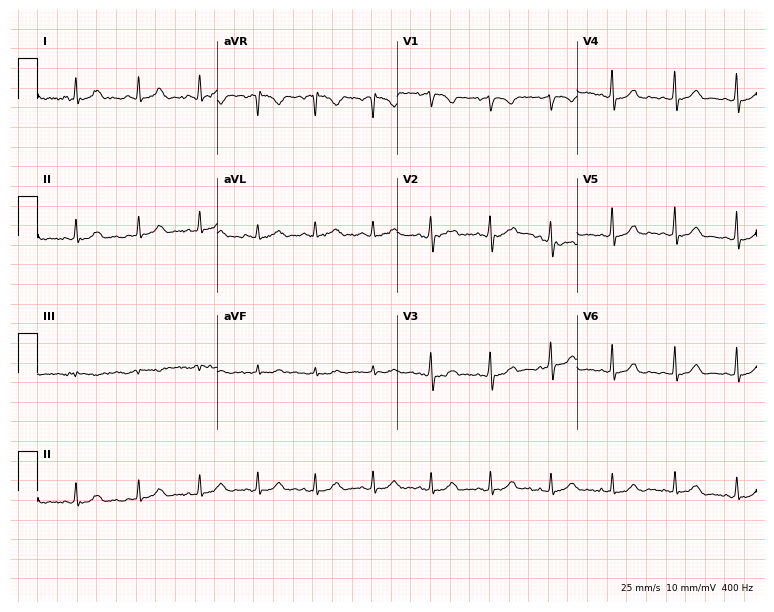
Resting 12-lead electrocardiogram. Patient: a 36-year-old woman. None of these six findings is recorded: first-degree AV block, right bundle branch block, left bundle branch block, sinus bradycardia, atrial fibrillation, sinus tachycardia.